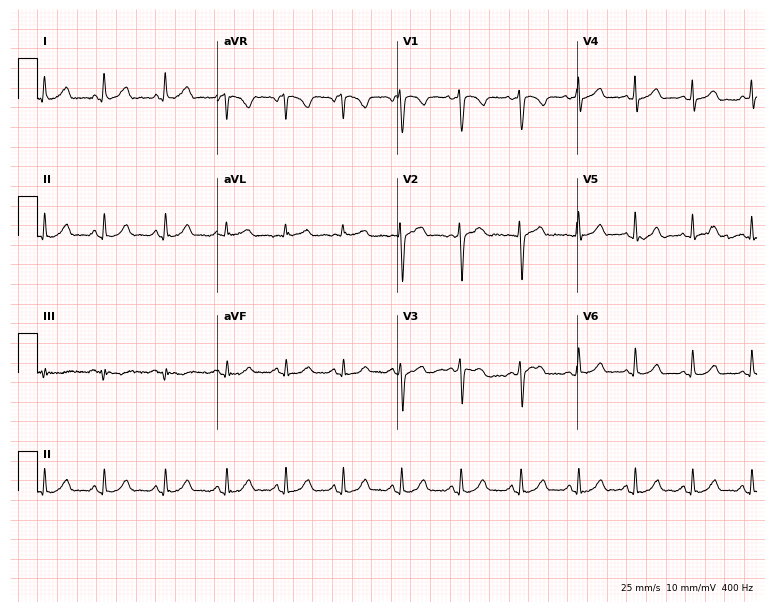
12-lead ECG (7.3-second recording at 400 Hz) from a female, 29 years old. Labelled as a normal ECG.